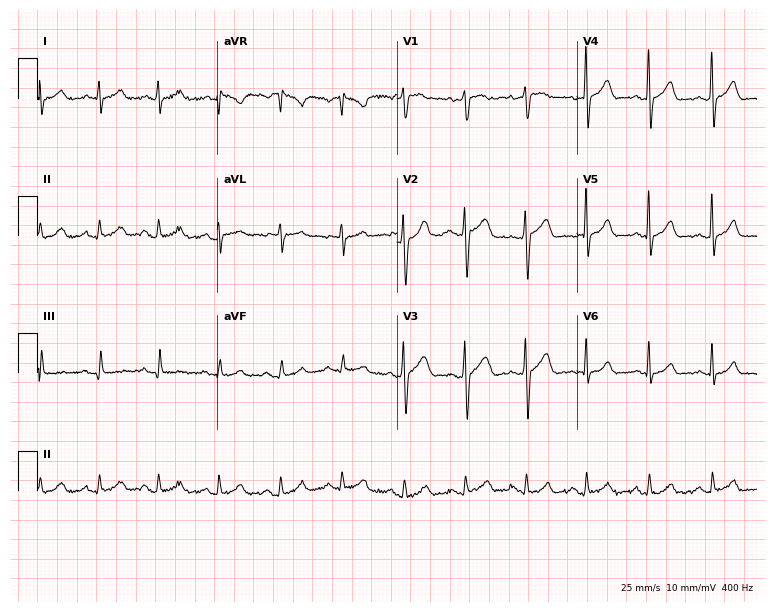
12-lead ECG (7.3-second recording at 400 Hz) from a female, 37 years old. Labelled as a normal ECG.